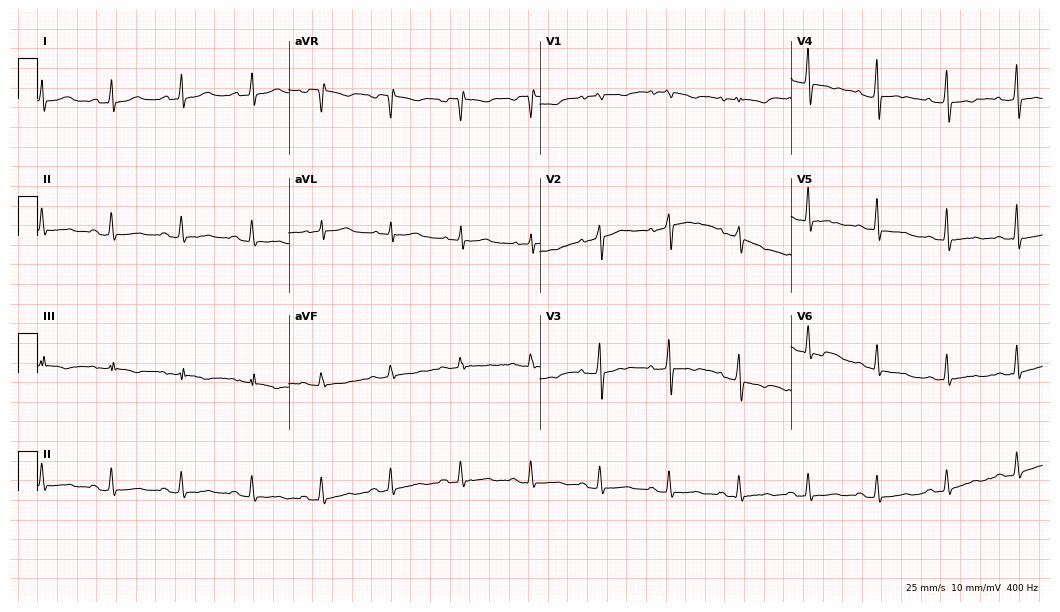
Standard 12-lead ECG recorded from a 65-year-old male (10.2-second recording at 400 Hz). None of these six findings is recorded: first-degree AV block, right bundle branch block, left bundle branch block, sinus bradycardia, atrial fibrillation, sinus tachycardia. Only these six findings were labelled.